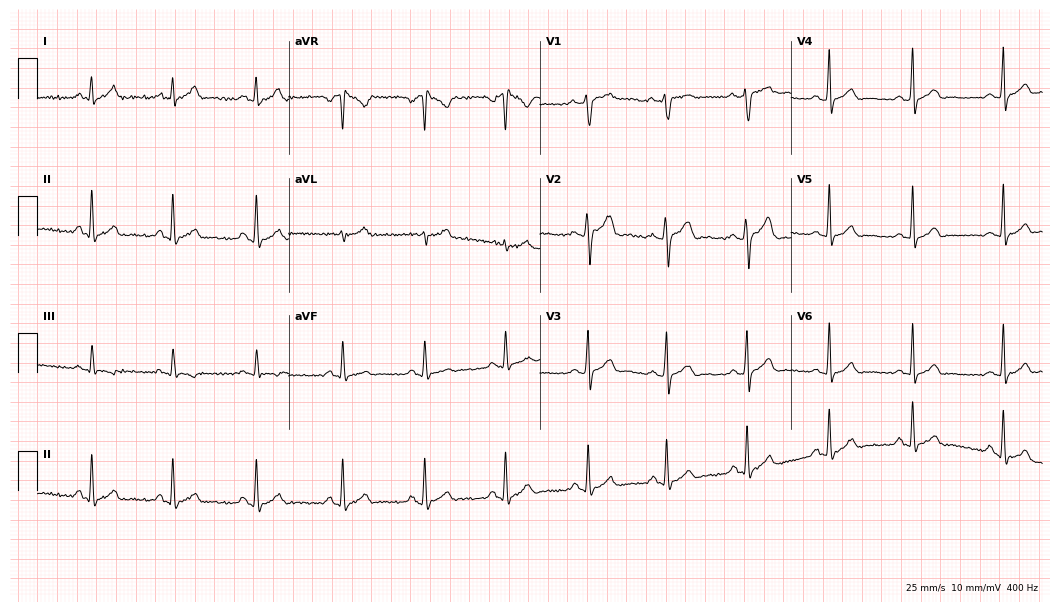
12-lead ECG from a man, 20 years old. Screened for six findings — first-degree AV block, right bundle branch block (RBBB), left bundle branch block (LBBB), sinus bradycardia, atrial fibrillation (AF), sinus tachycardia — none is recorded. Findings outside these six are not listed.